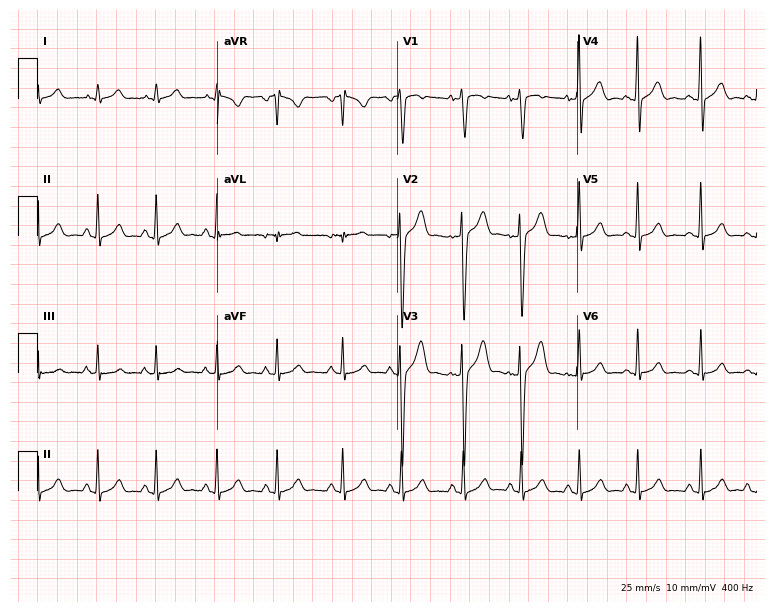
Standard 12-lead ECG recorded from an 18-year-old male patient. None of these six findings is recorded: first-degree AV block, right bundle branch block (RBBB), left bundle branch block (LBBB), sinus bradycardia, atrial fibrillation (AF), sinus tachycardia.